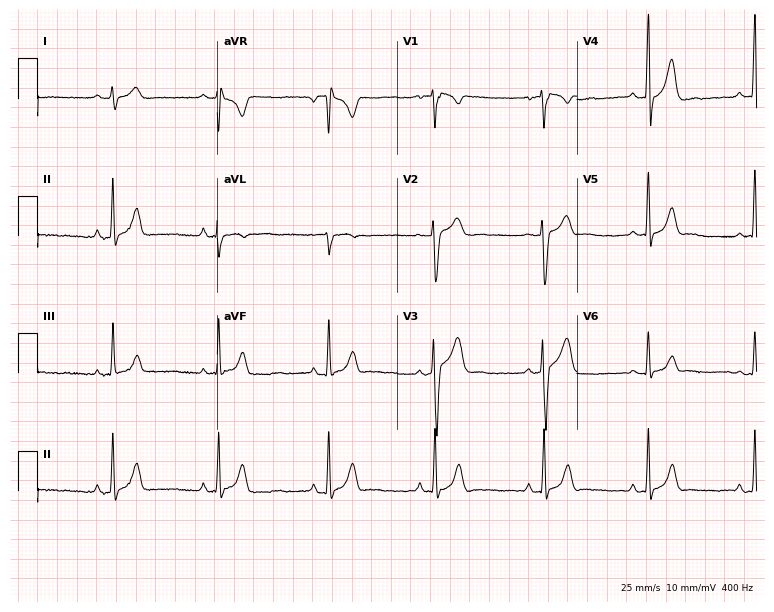
Electrocardiogram, a 23-year-old man. Overall reading on record: normal ECG.